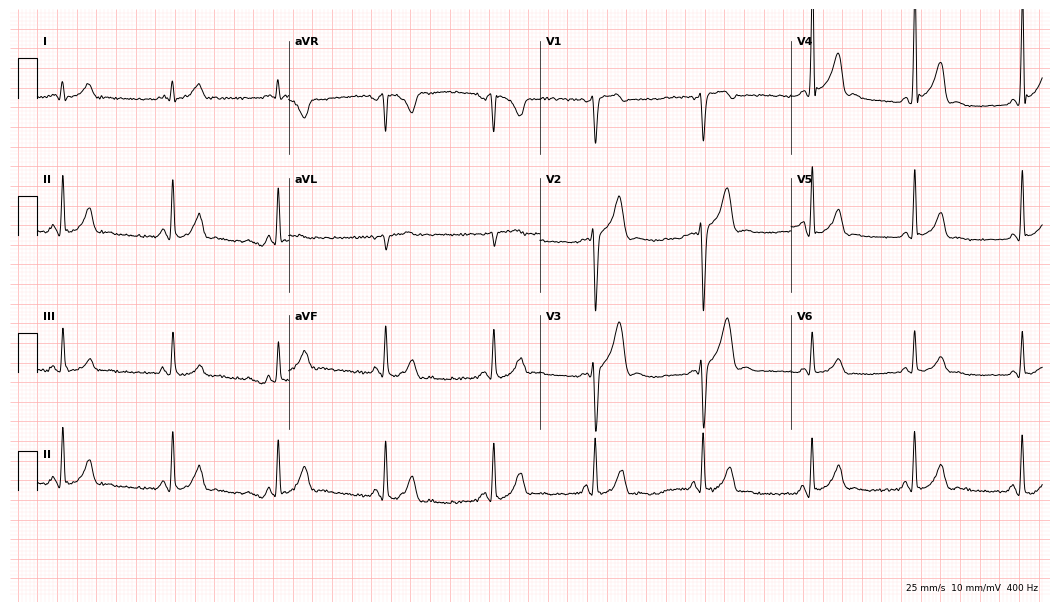
Electrocardiogram, a man, 29 years old. Of the six screened findings (first-degree AV block, right bundle branch block (RBBB), left bundle branch block (LBBB), sinus bradycardia, atrial fibrillation (AF), sinus tachycardia), none is recorded. Findings outside these six are not listed.